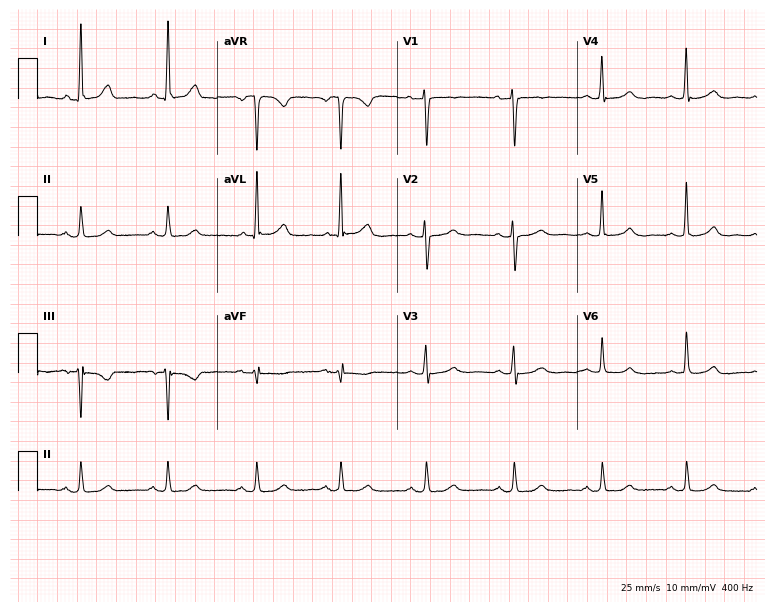
Resting 12-lead electrocardiogram. Patient: a 66-year-old female. Read as a normal ECG.